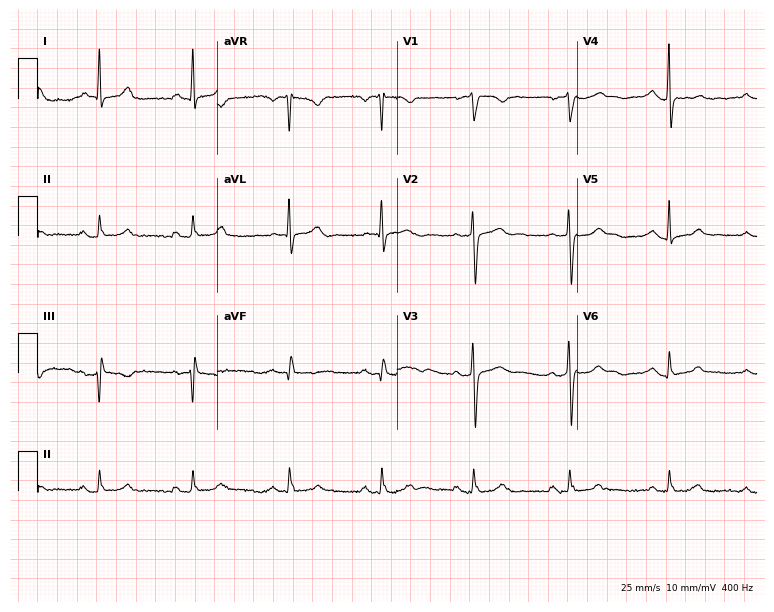
Resting 12-lead electrocardiogram (7.3-second recording at 400 Hz). Patient: a 50-year-old woman. None of these six findings is recorded: first-degree AV block, right bundle branch block (RBBB), left bundle branch block (LBBB), sinus bradycardia, atrial fibrillation (AF), sinus tachycardia. Only these six findings were labelled.